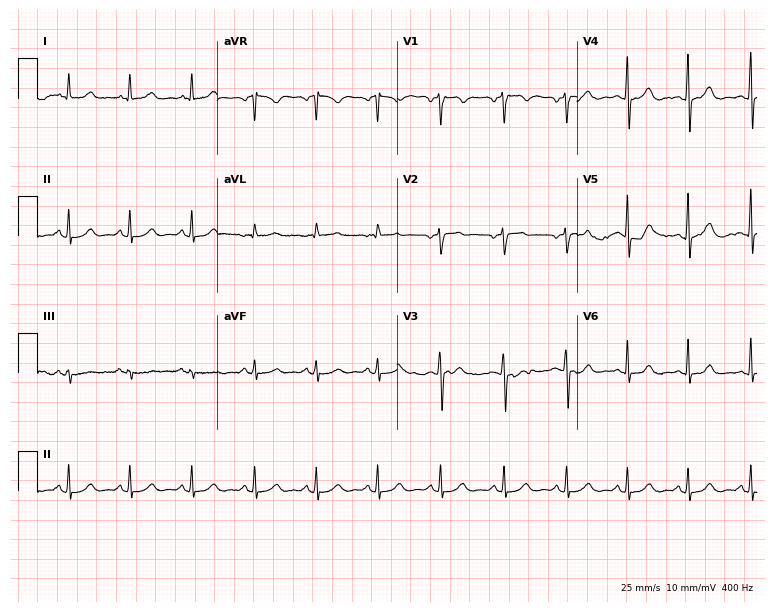
Standard 12-lead ECG recorded from a female patient, 36 years old. Read as a normal ECG.